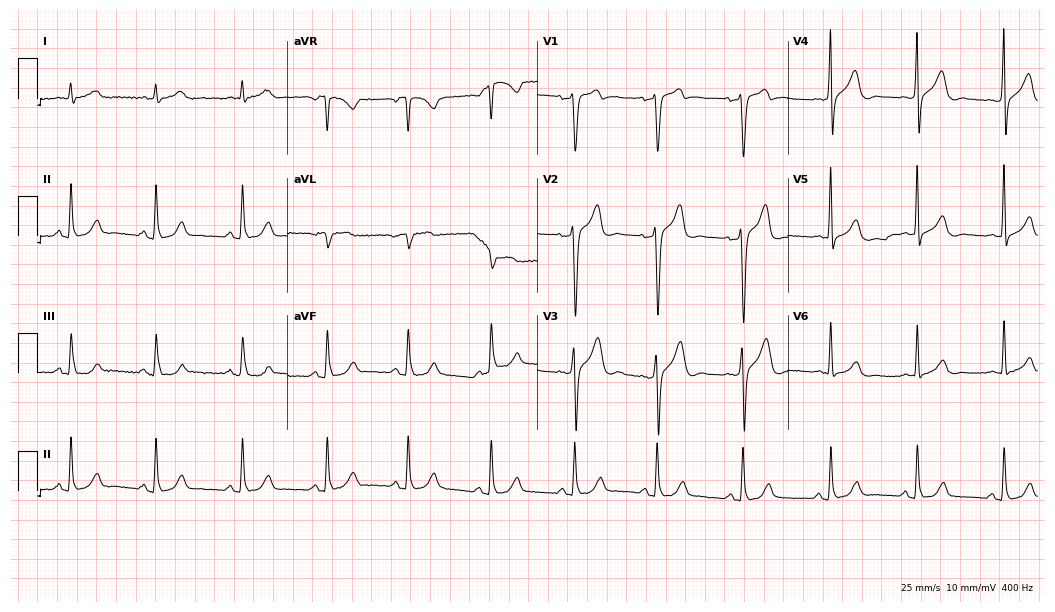
Resting 12-lead electrocardiogram. Patient: a man, 56 years old. Read as a normal ECG.